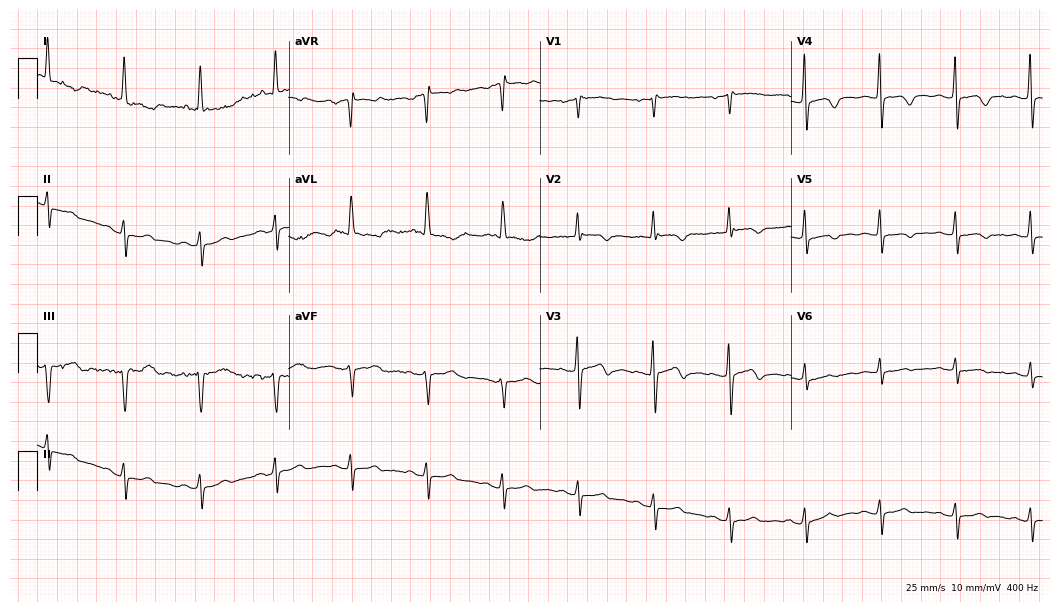
12-lead ECG from a female patient, 74 years old (10.2-second recording at 400 Hz). No first-degree AV block, right bundle branch block (RBBB), left bundle branch block (LBBB), sinus bradycardia, atrial fibrillation (AF) or sinus tachycardia recorded for this tracing. Only these six findings were labelled.